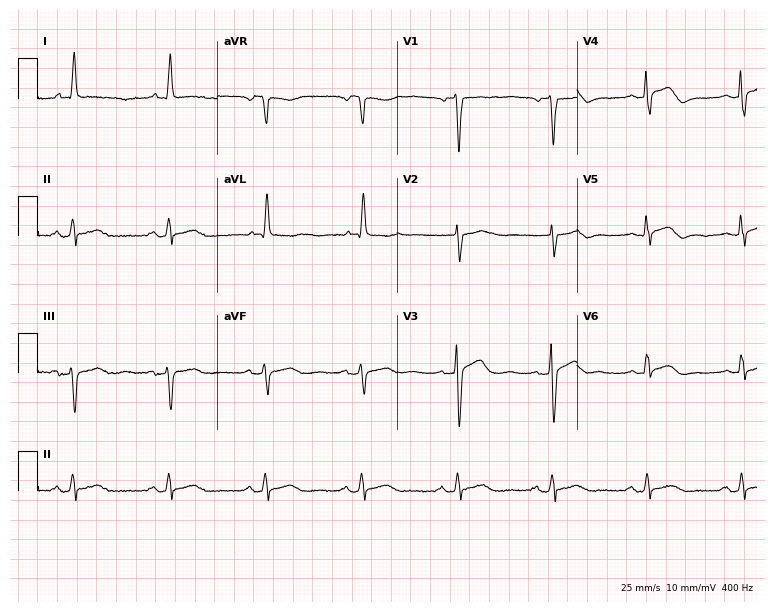
Standard 12-lead ECG recorded from a female patient, 77 years old (7.3-second recording at 400 Hz). None of these six findings is recorded: first-degree AV block, right bundle branch block, left bundle branch block, sinus bradycardia, atrial fibrillation, sinus tachycardia. Findings outside these six are not listed.